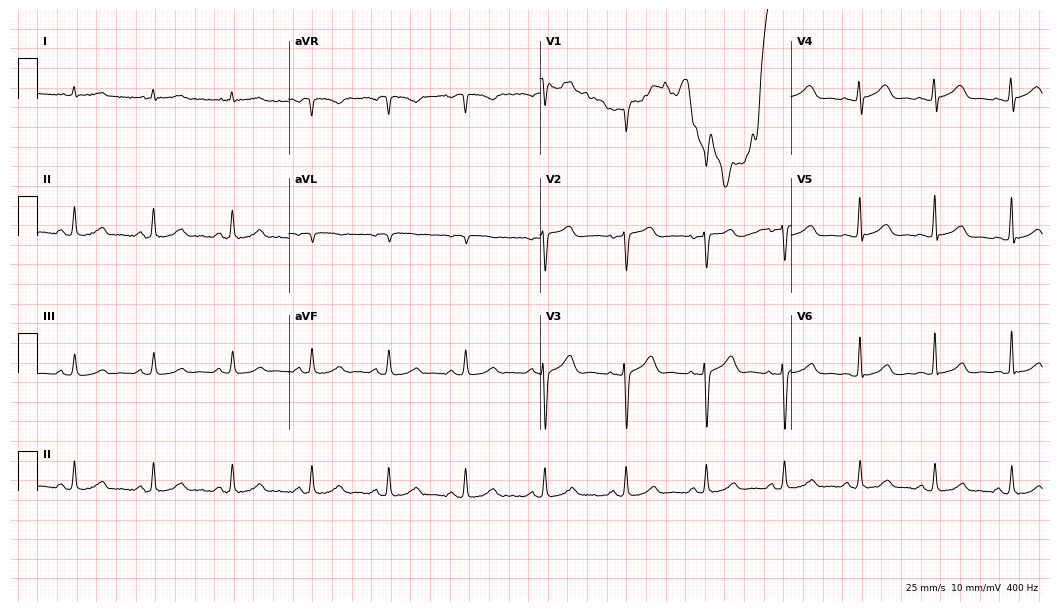
Standard 12-lead ECG recorded from a male patient, 54 years old (10.2-second recording at 400 Hz). None of these six findings is recorded: first-degree AV block, right bundle branch block, left bundle branch block, sinus bradycardia, atrial fibrillation, sinus tachycardia.